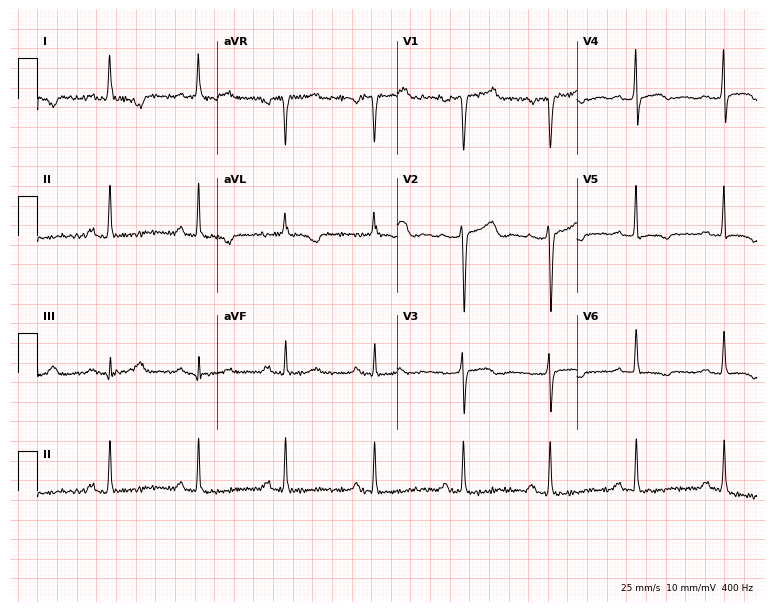
12-lead ECG from a 73-year-old female patient. Screened for six findings — first-degree AV block, right bundle branch block, left bundle branch block, sinus bradycardia, atrial fibrillation, sinus tachycardia — none is recorded. Only these six findings were labelled.